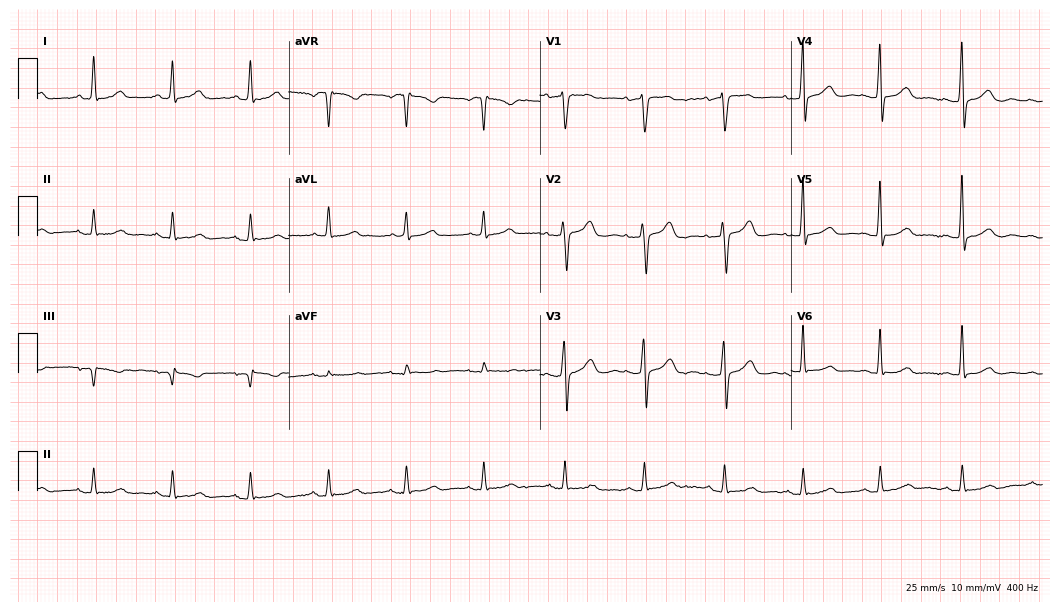
Standard 12-lead ECG recorded from a 79-year-old female. Read as a normal ECG.